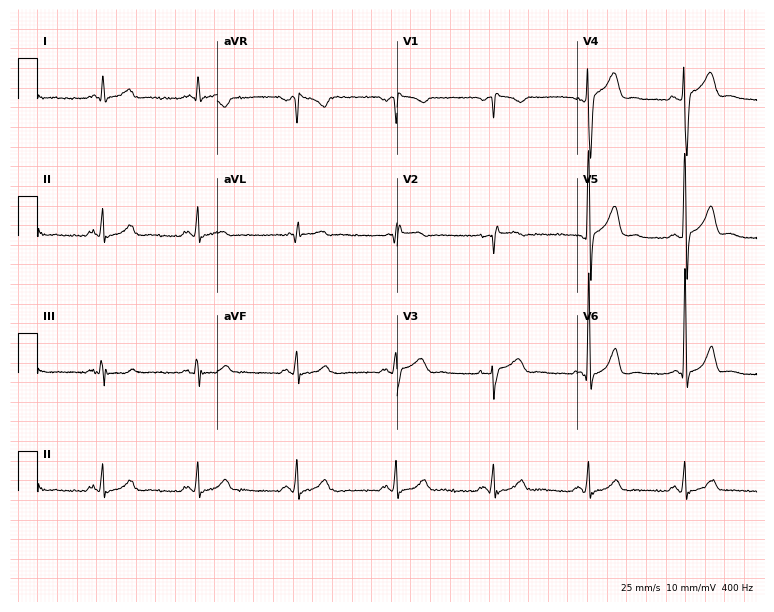
12-lead ECG from a 47-year-old man. Recorded interpretation: within normal limits.